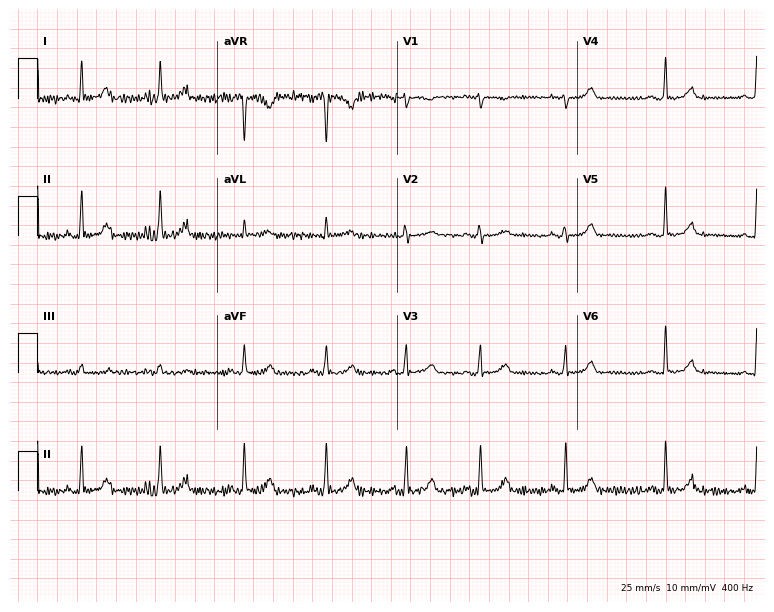
ECG (7.3-second recording at 400 Hz) — a 33-year-old female. Screened for six findings — first-degree AV block, right bundle branch block (RBBB), left bundle branch block (LBBB), sinus bradycardia, atrial fibrillation (AF), sinus tachycardia — none is recorded. Only these six findings were labelled.